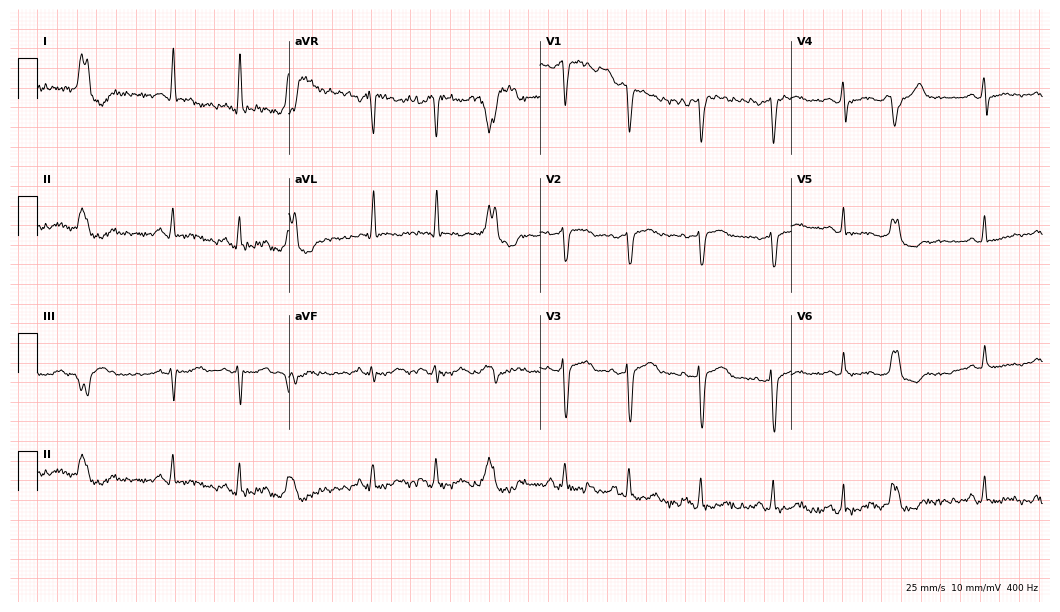
12-lead ECG (10.2-second recording at 400 Hz) from a 56-year-old female. Screened for six findings — first-degree AV block, right bundle branch block, left bundle branch block, sinus bradycardia, atrial fibrillation, sinus tachycardia — none is recorded.